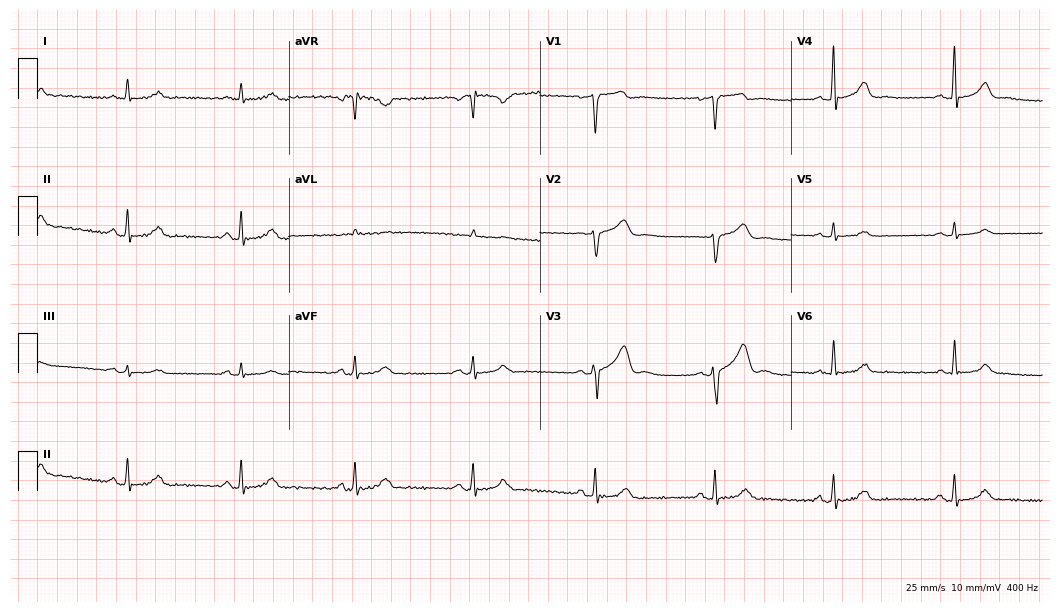
ECG (10.2-second recording at 400 Hz) — a male, 59 years old. Findings include sinus bradycardia (a sinus rate of 50 beats per minute or less).